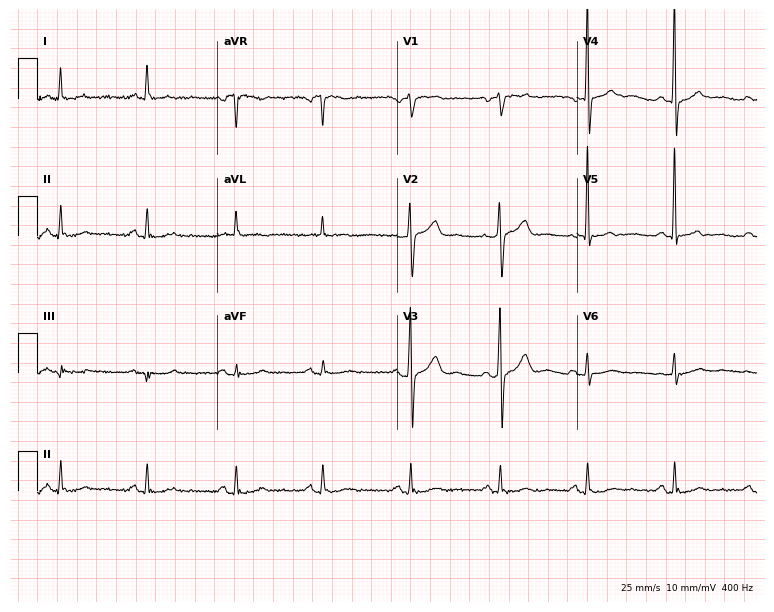
Electrocardiogram (7.3-second recording at 400 Hz), a 70-year-old female. Of the six screened findings (first-degree AV block, right bundle branch block (RBBB), left bundle branch block (LBBB), sinus bradycardia, atrial fibrillation (AF), sinus tachycardia), none is recorded.